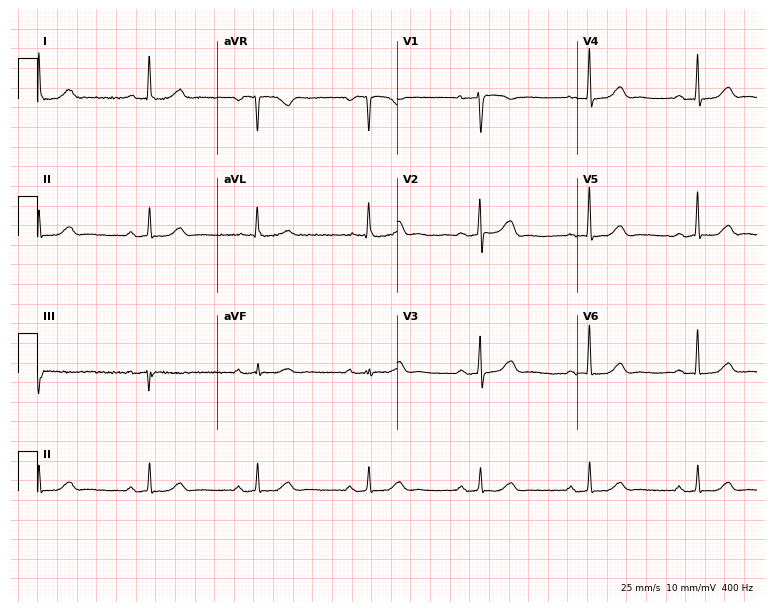
ECG (7.3-second recording at 400 Hz) — a female patient, 59 years old. Labelled as a normal ECG.